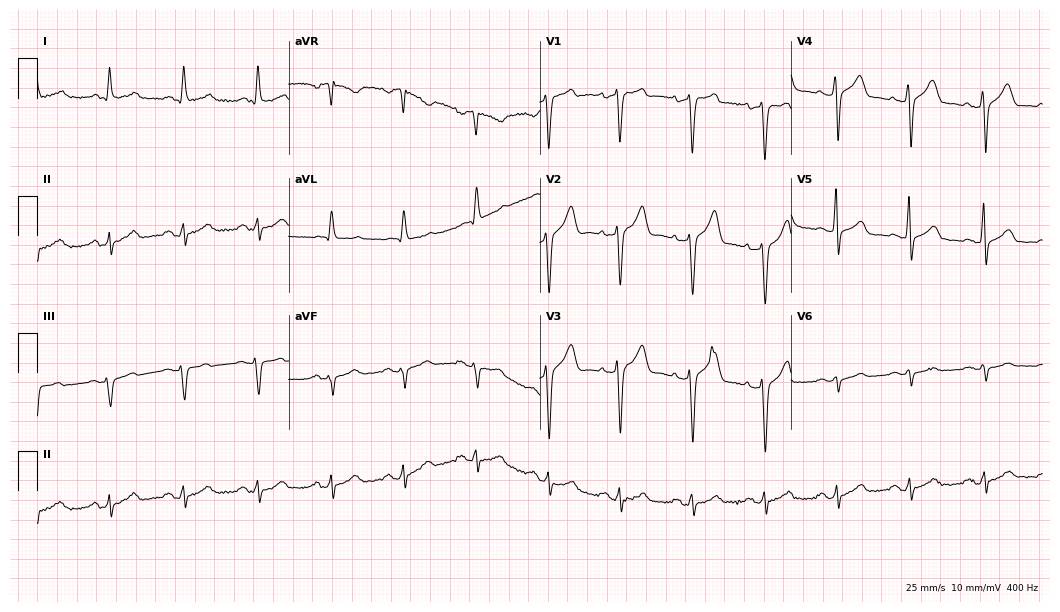
ECG — a male, 62 years old. Labelled as a normal ECG.